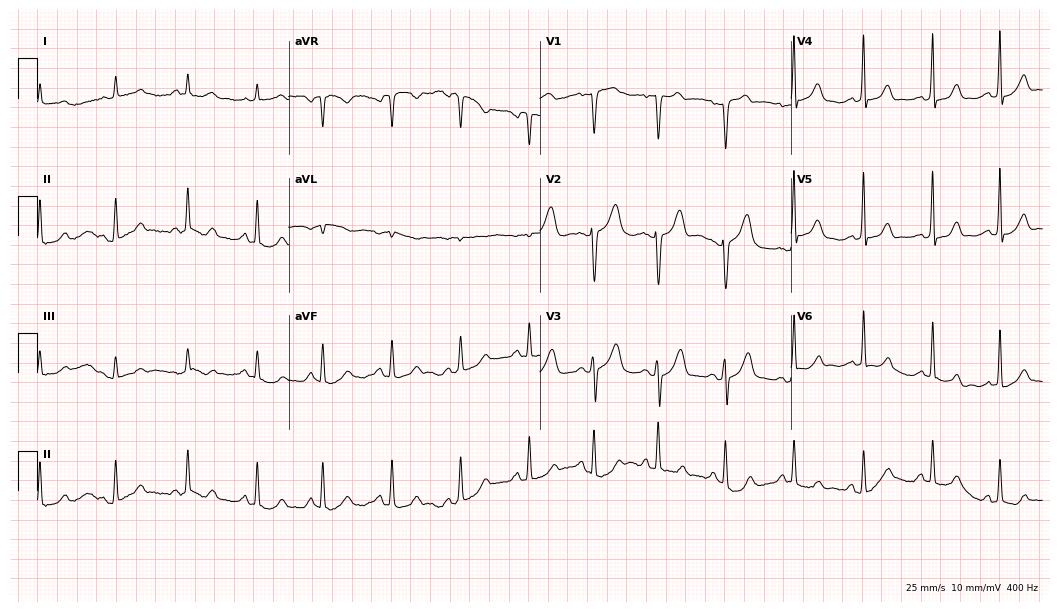
Electrocardiogram, a woman, 57 years old. Overall reading on record: normal ECG.